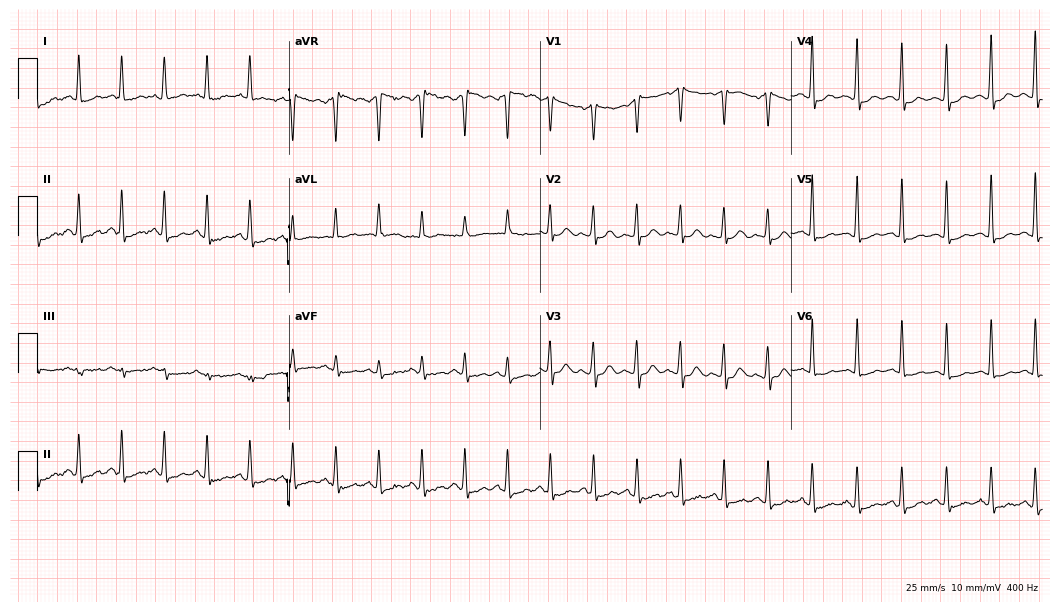
Standard 12-lead ECG recorded from a female patient, 32 years old. The tracing shows sinus tachycardia (a sinus rate of 100 beats per minute or more).